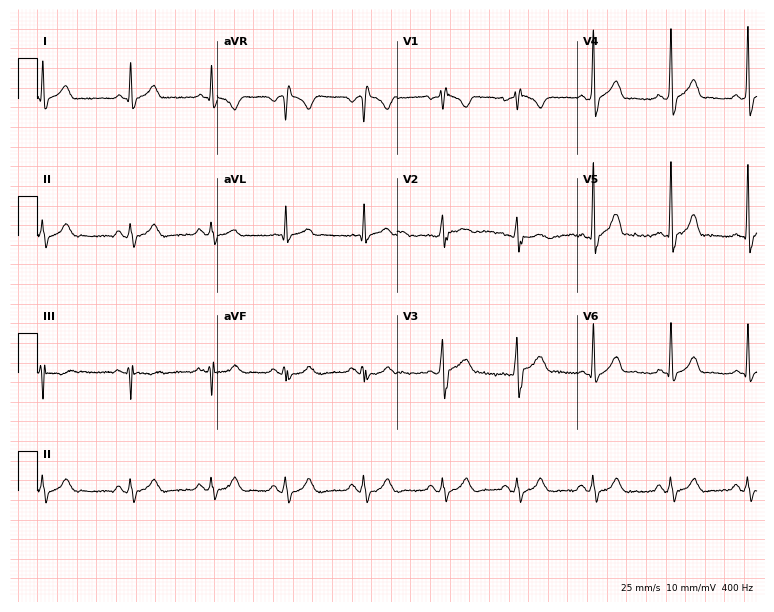
ECG (7.3-second recording at 400 Hz) — a male patient, 39 years old. Screened for six findings — first-degree AV block, right bundle branch block, left bundle branch block, sinus bradycardia, atrial fibrillation, sinus tachycardia — none is recorded.